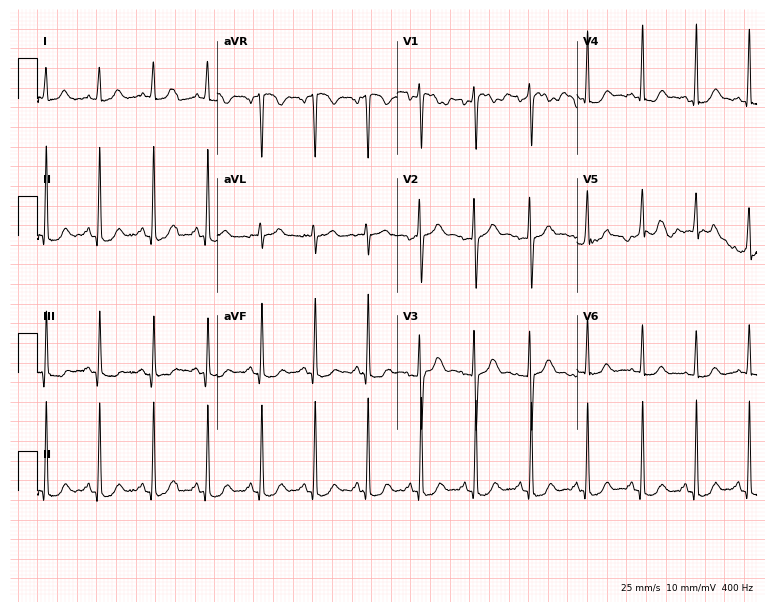
Standard 12-lead ECG recorded from a female patient, 36 years old (7.3-second recording at 400 Hz). The tracing shows sinus tachycardia (a sinus rate of 100 beats per minute or more).